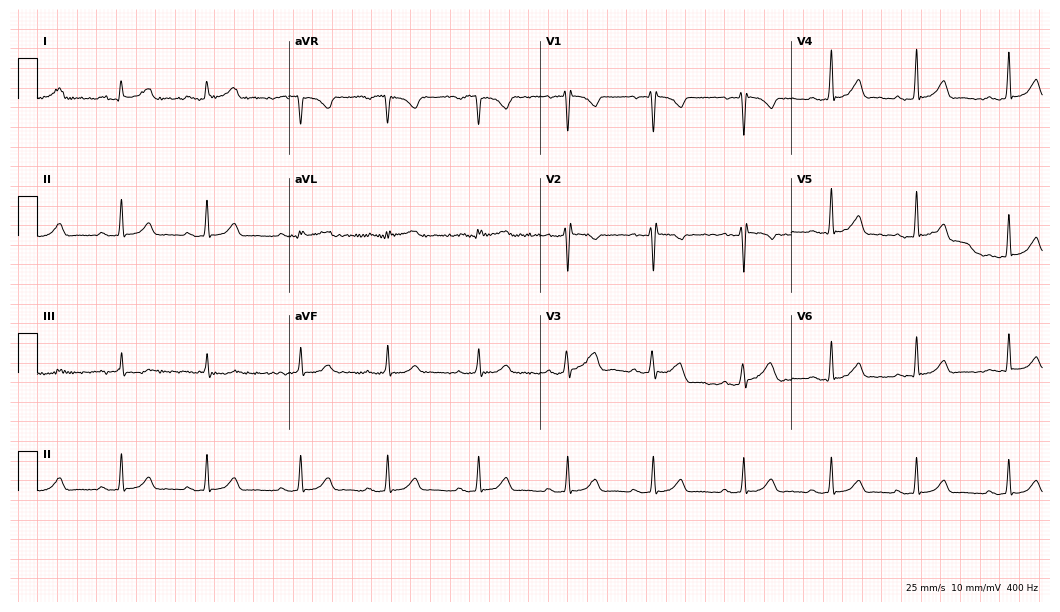
ECG (10.2-second recording at 400 Hz) — a 27-year-old female patient. Screened for six findings — first-degree AV block, right bundle branch block (RBBB), left bundle branch block (LBBB), sinus bradycardia, atrial fibrillation (AF), sinus tachycardia — none is recorded. Findings outside these six are not listed.